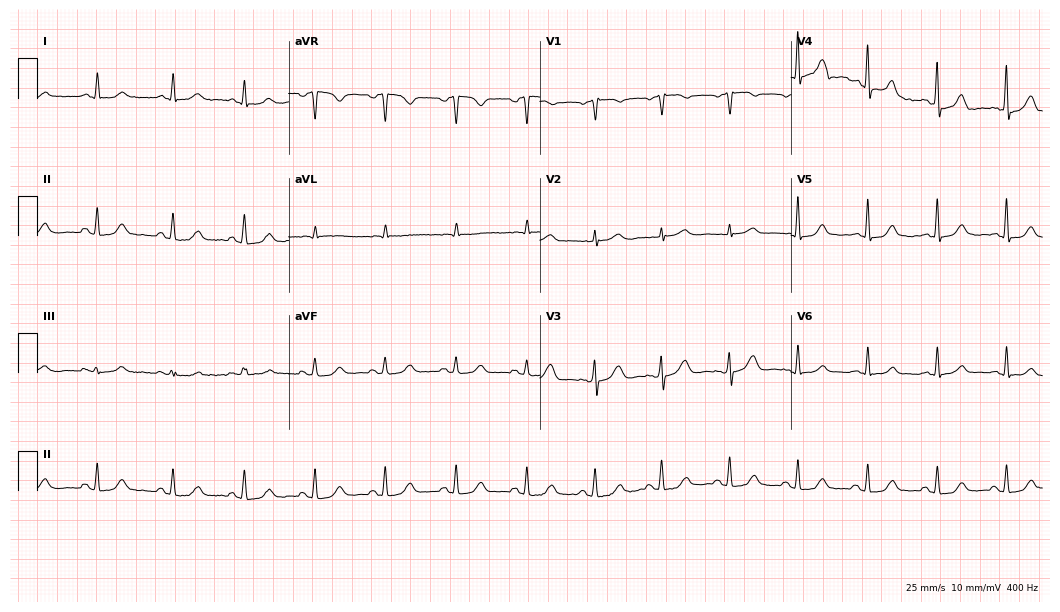
Electrocardiogram (10.2-second recording at 400 Hz), a woman, 55 years old. Overall reading on record: normal ECG.